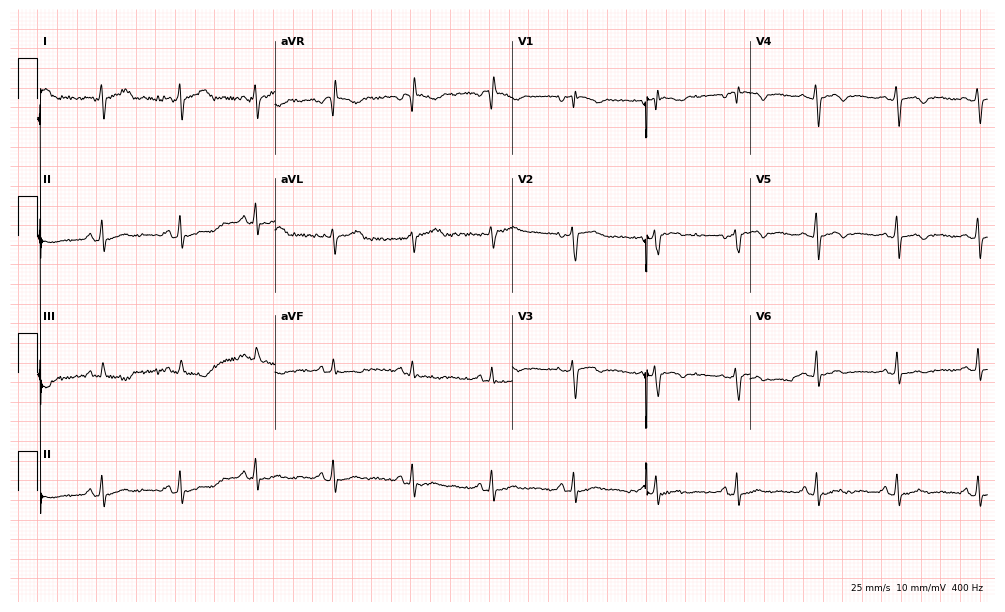
Resting 12-lead electrocardiogram. Patient: a woman, 39 years old. None of these six findings is recorded: first-degree AV block, right bundle branch block, left bundle branch block, sinus bradycardia, atrial fibrillation, sinus tachycardia. Findings outside these six are not listed.